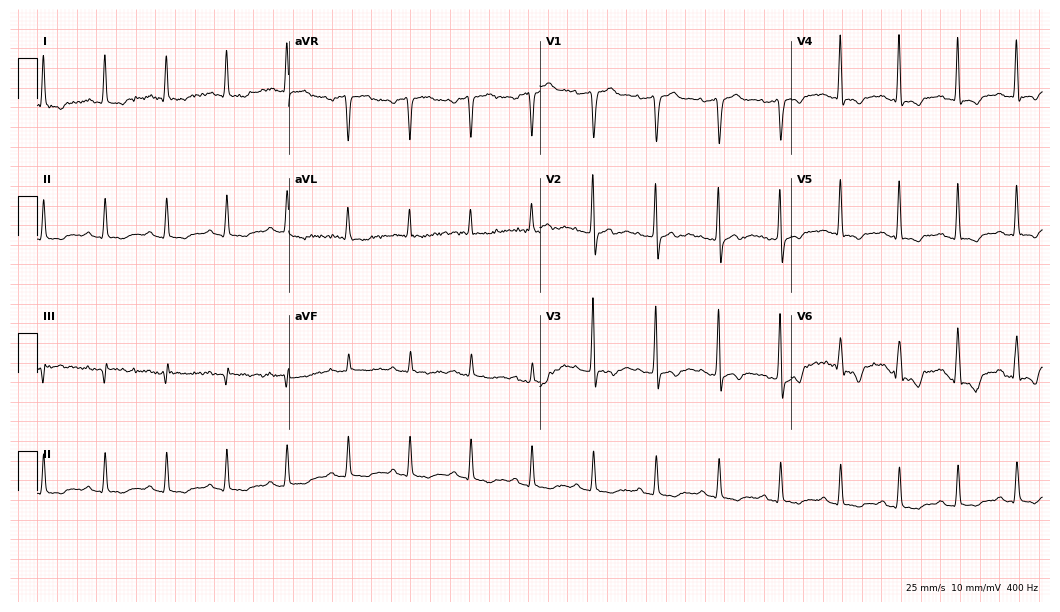
12-lead ECG from a 53-year-old male patient. Screened for six findings — first-degree AV block, right bundle branch block, left bundle branch block, sinus bradycardia, atrial fibrillation, sinus tachycardia — none is recorded. Other findings, if any, are not listed.